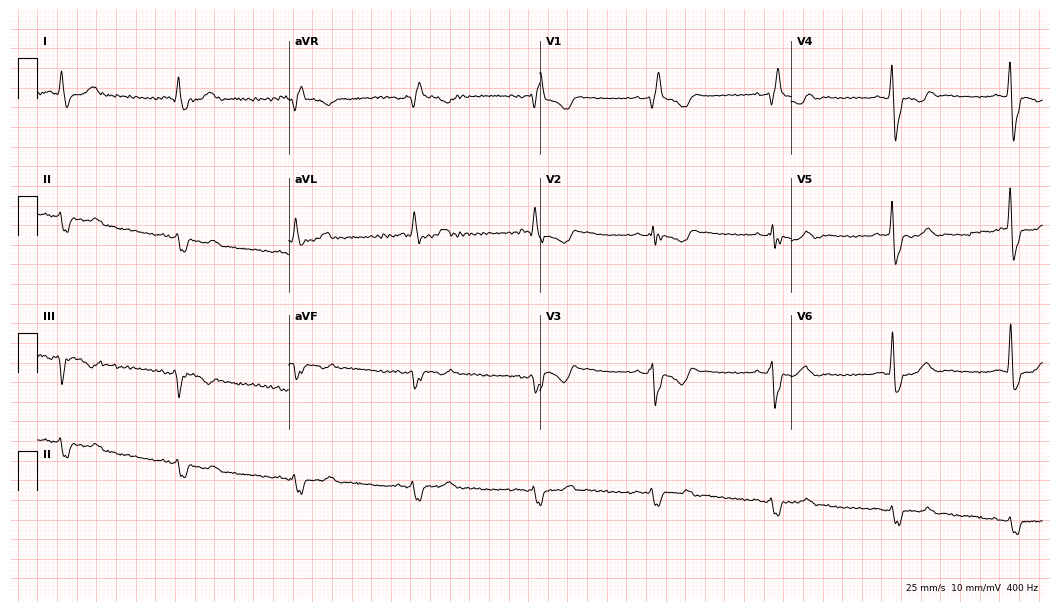
12-lead ECG from a man, 73 years old. Findings include right bundle branch block.